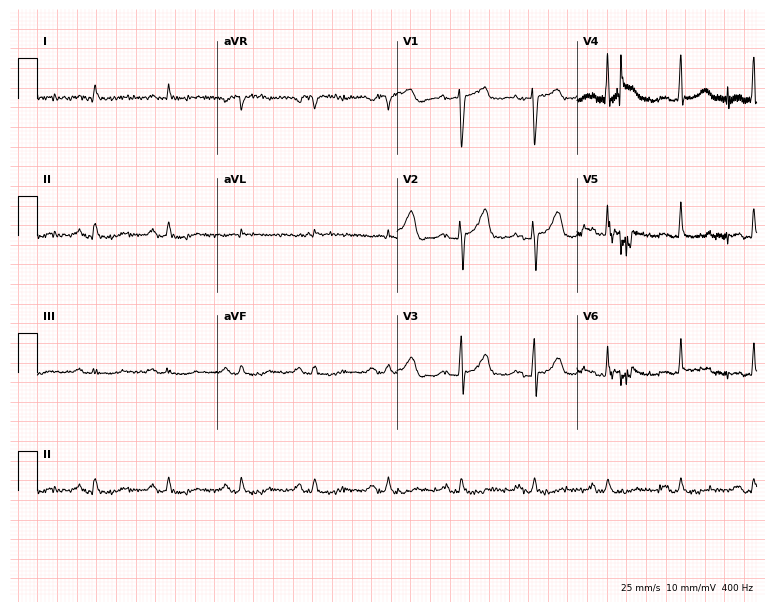
Resting 12-lead electrocardiogram (7.3-second recording at 400 Hz). Patient: a man, 75 years old. None of these six findings is recorded: first-degree AV block, right bundle branch block, left bundle branch block, sinus bradycardia, atrial fibrillation, sinus tachycardia. Findings outside these six are not listed.